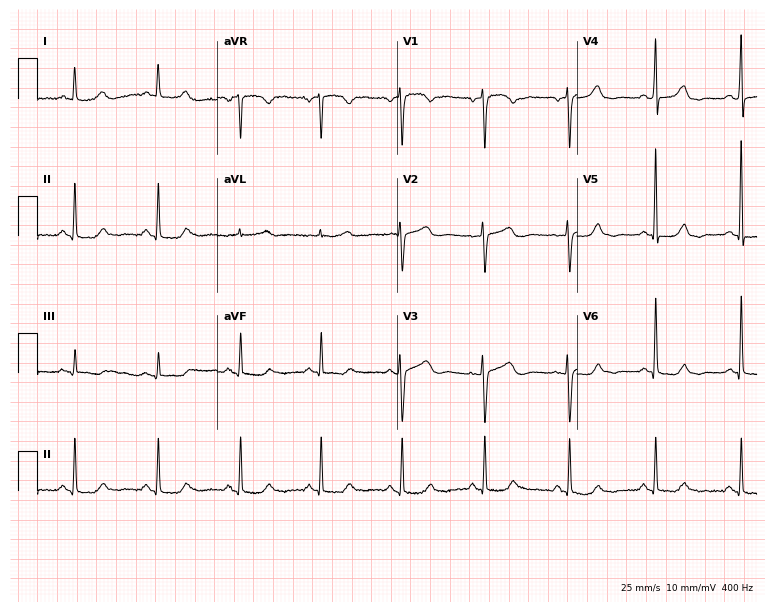
Electrocardiogram (7.3-second recording at 400 Hz), a woman, 56 years old. Of the six screened findings (first-degree AV block, right bundle branch block, left bundle branch block, sinus bradycardia, atrial fibrillation, sinus tachycardia), none is recorded. Findings outside these six are not listed.